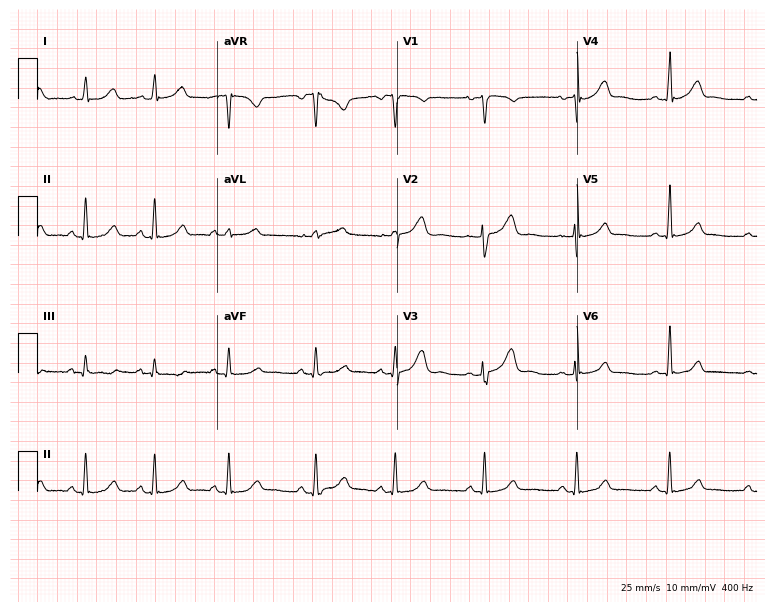
12-lead ECG from a woman, 32 years old (7.3-second recording at 400 Hz). Recorded interpretation: within normal limits.